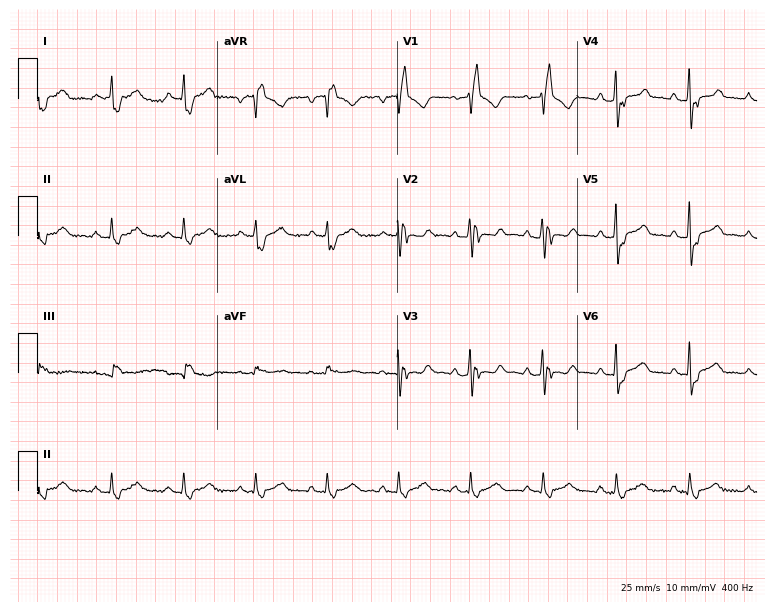
Electrocardiogram (7.3-second recording at 400 Hz), a man, 49 years old. Interpretation includes right bundle branch block.